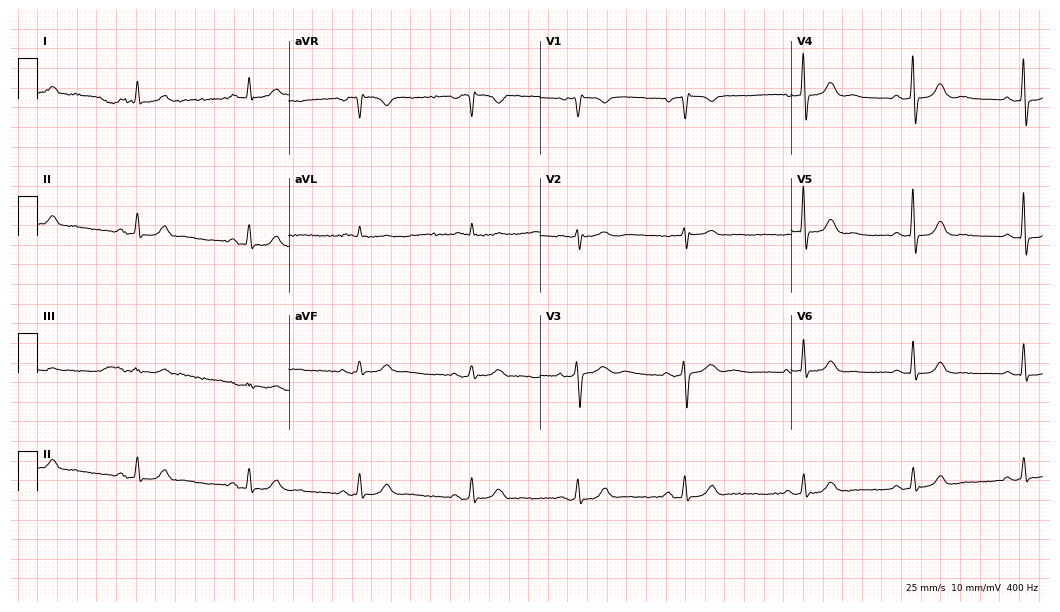
12-lead ECG (10.2-second recording at 400 Hz) from a man, 85 years old. Labelled as a normal ECG.